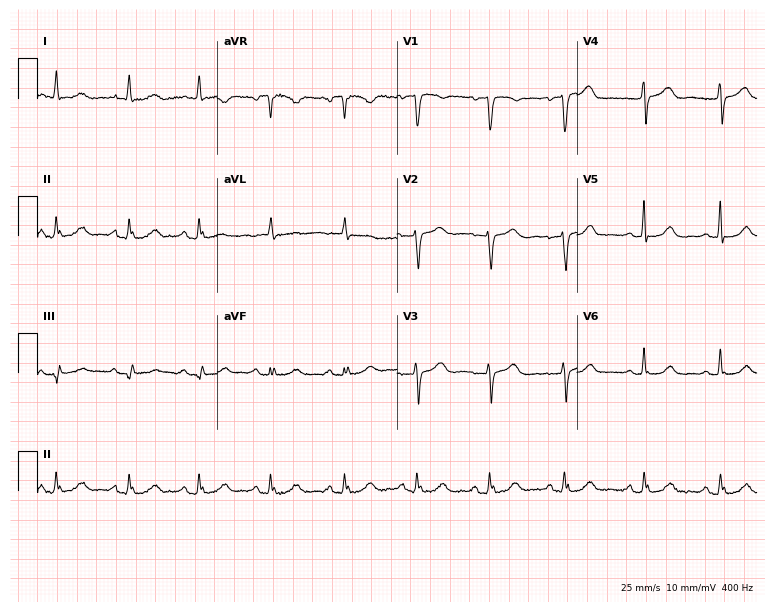
ECG (7.3-second recording at 400 Hz) — a female, 48 years old. Screened for six findings — first-degree AV block, right bundle branch block, left bundle branch block, sinus bradycardia, atrial fibrillation, sinus tachycardia — none is recorded.